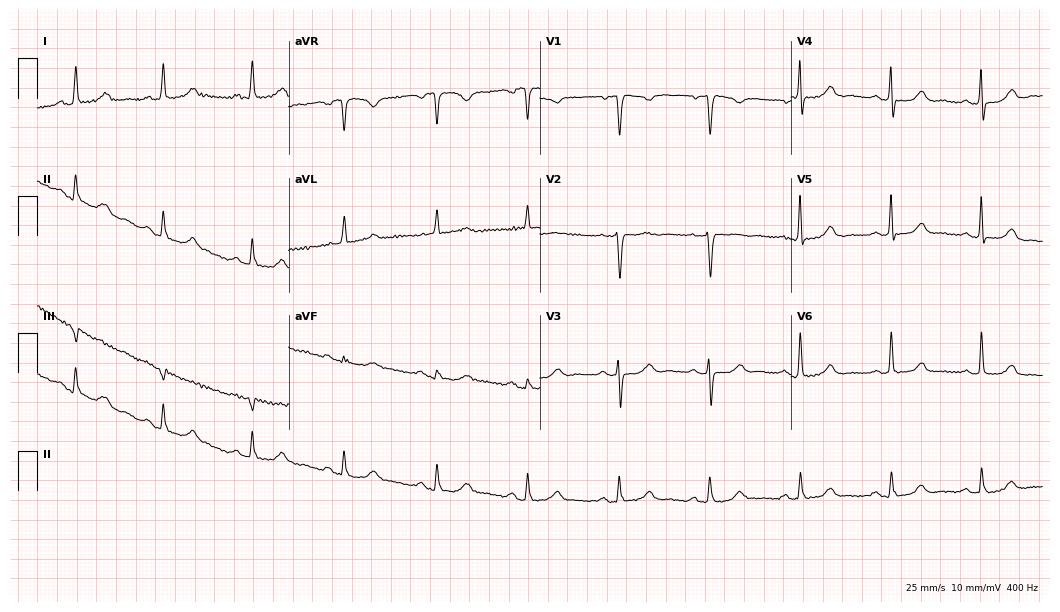
12-lead ECG from a 66-year-old woman. Recorded interpretation: within normal limits.